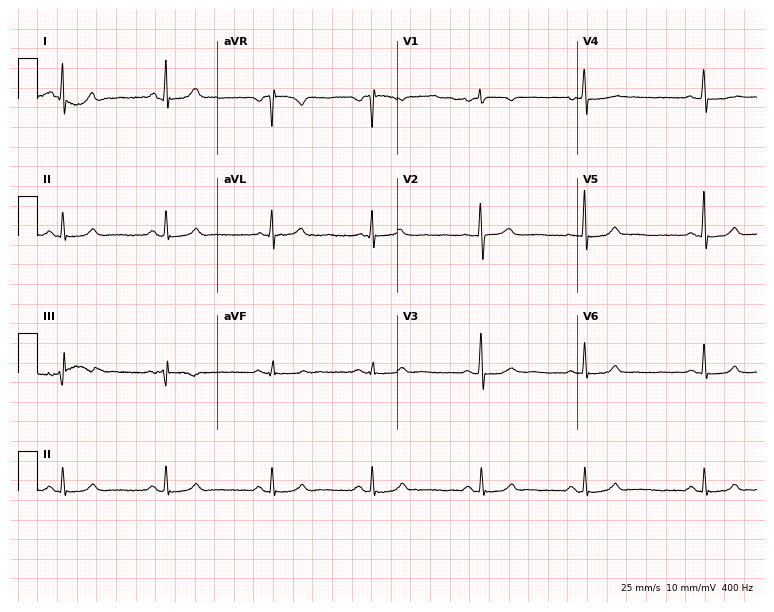
Resting 12-lead electrocardiogram (7.3-second recording at 400 Hz). Patient: a 52-year-old female. Read as a normal ECG.